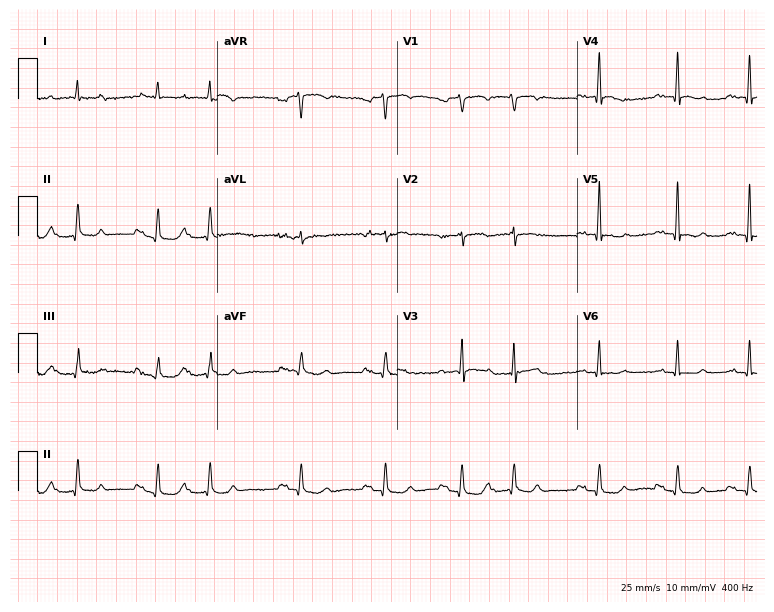
Standard 12-lead ECG recorded from an 81-year-old man. None of these six findings is recorded: first-degree AV block, right bundle branch block, left bundle branch block, sinus bradycardia, atrial fibrillation, sinus tachycardia.